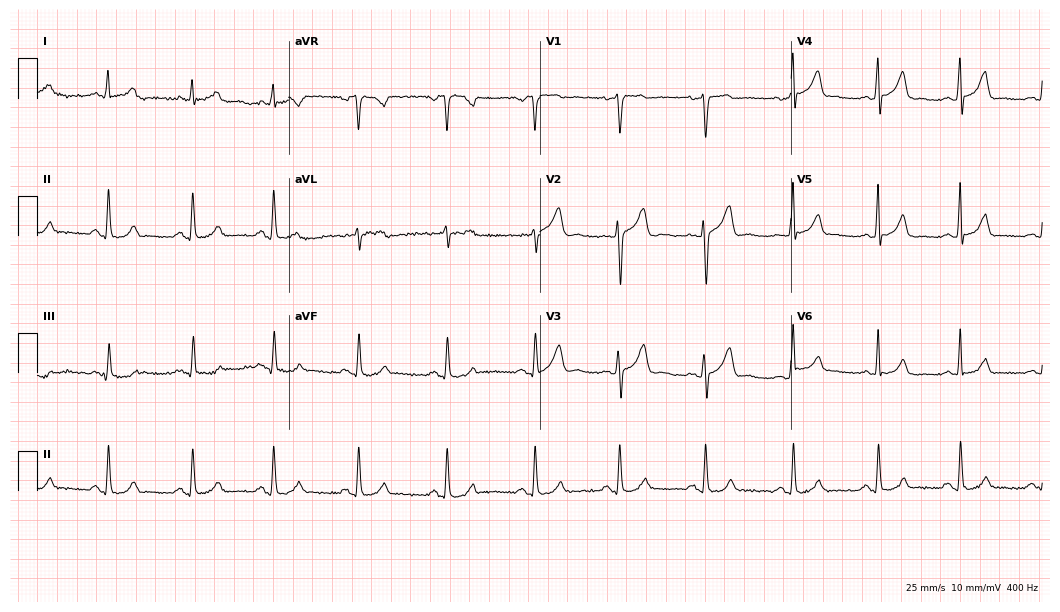
12-lead ECG (10.2-second recording at 400 Hz) from a 37-year-old female. Labelled as a normal ECG.